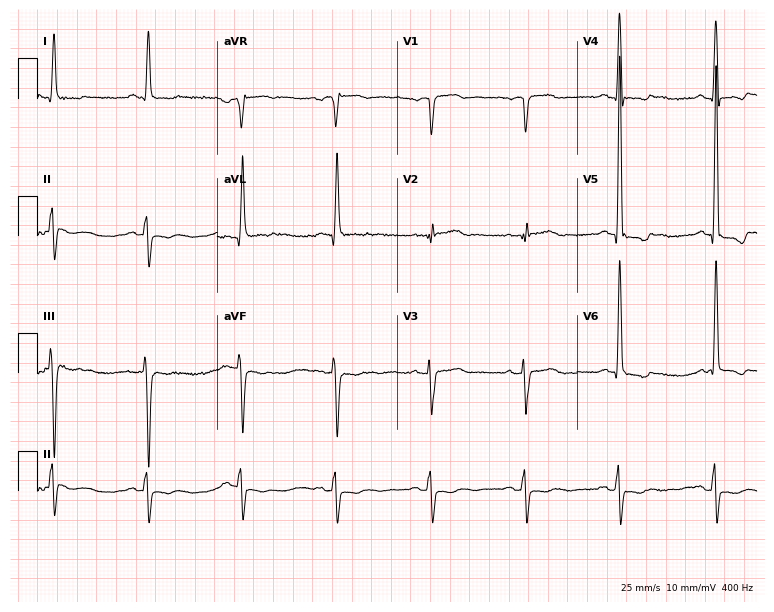
Standard 12-lead ECG recorded from a 77-year-old male (7.3-second recording at 400 Hz). None of these six findings is recorded: first-degree AV block, right bundle branch block, left bundle branch block, sinus bradycardia, atrial fibrillation, sinus tachycardia.